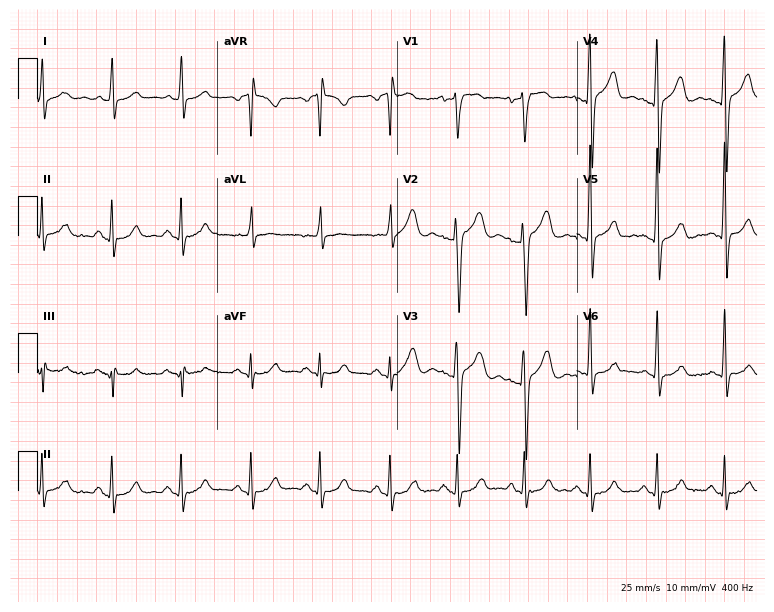
ECG — a 34-year-old male. Screened for six findings — first-degree AV block, right bundle branch block, left bundle branch block, sinus bradycardia, atrial fibrillation, sinus tachycardia — none is recorded. Only these six findings were labelled.